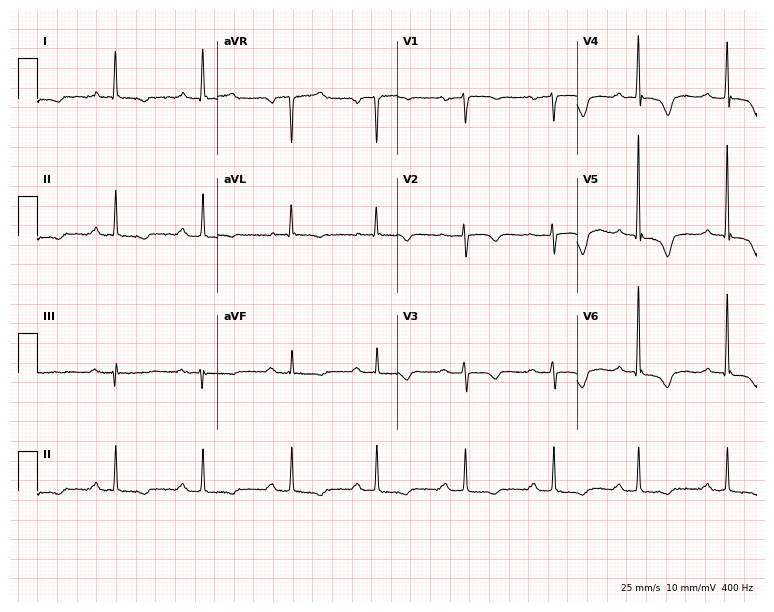
12-lead ECG (7.3-second recording at 400 Hz) from a woman, 74 years old. Findings include first-degree AV block.